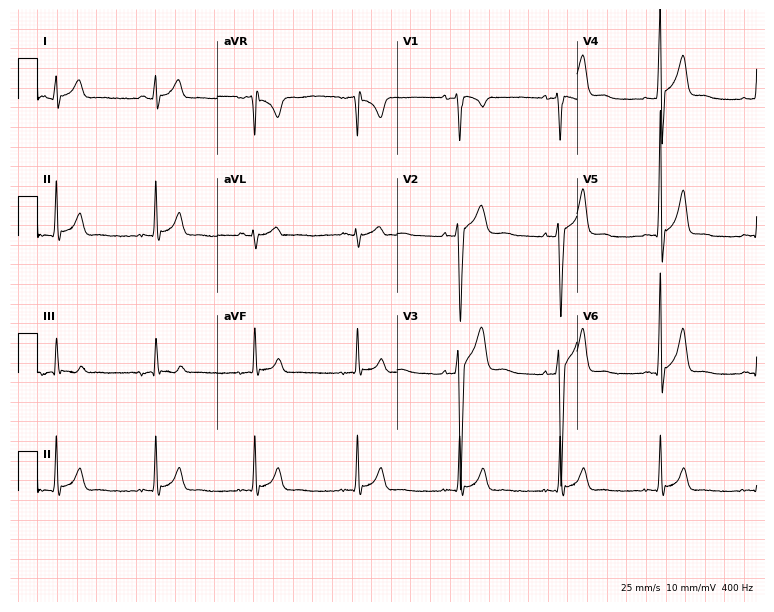
Resting 12-lead electrocardiogram (7.3-second recording at 400 Hz). Patient: a 19-year-old male. Read as a normal ECG.